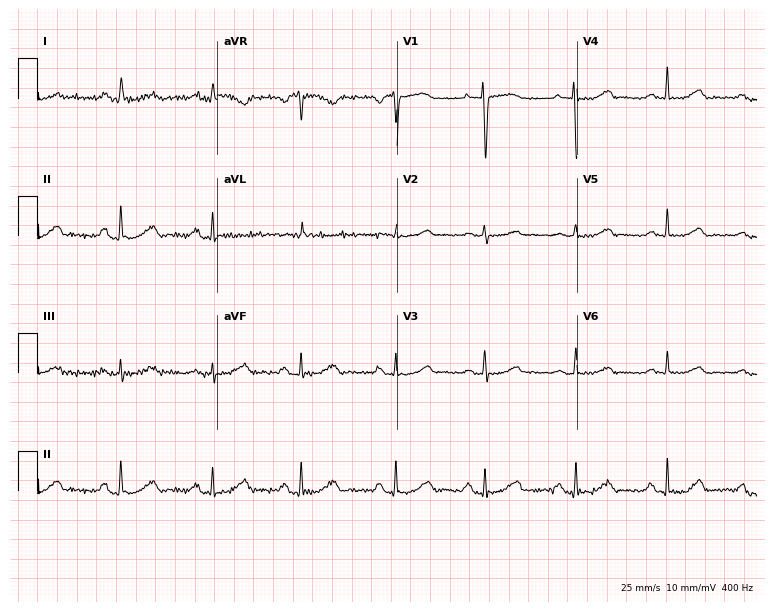
ECG — a 74-year-old woman. Labelled as a normal ECG.